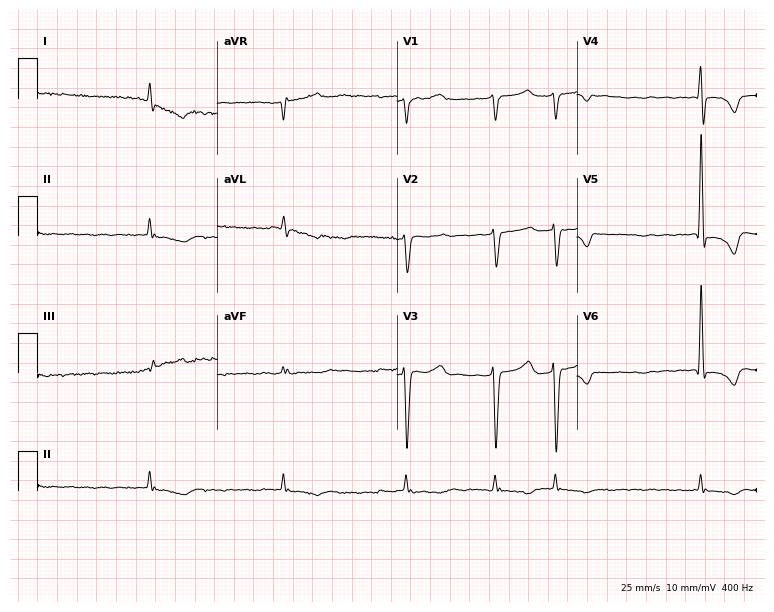
Resting 12-lead electrocardiogram. Patient: a man, 73 years old. The tracing shows atrial fibrillation (AF).